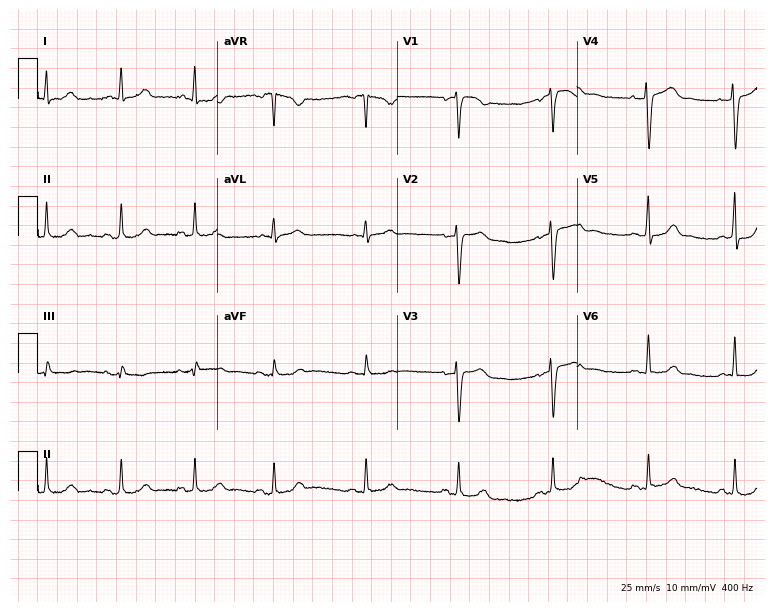
Standard 12-lead ECG recorded from a 42-year-old female patient (7.3-second recording at 400 Hz). Read as a normal ECG.